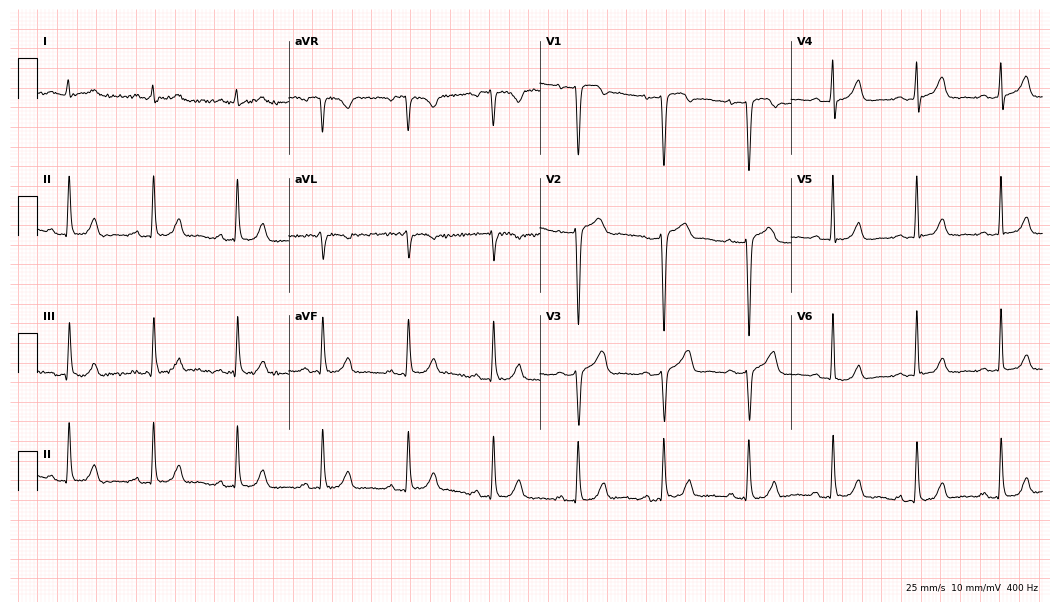
12-lead ECG from a 75-year-old female. Screened for six findings — first-degree AV block, right bundle branch block, left bundle branch block, sinus bradycardia, atrial fibrillation, sinus tachycardia — none is recorded. Findings outside these six are not listed.